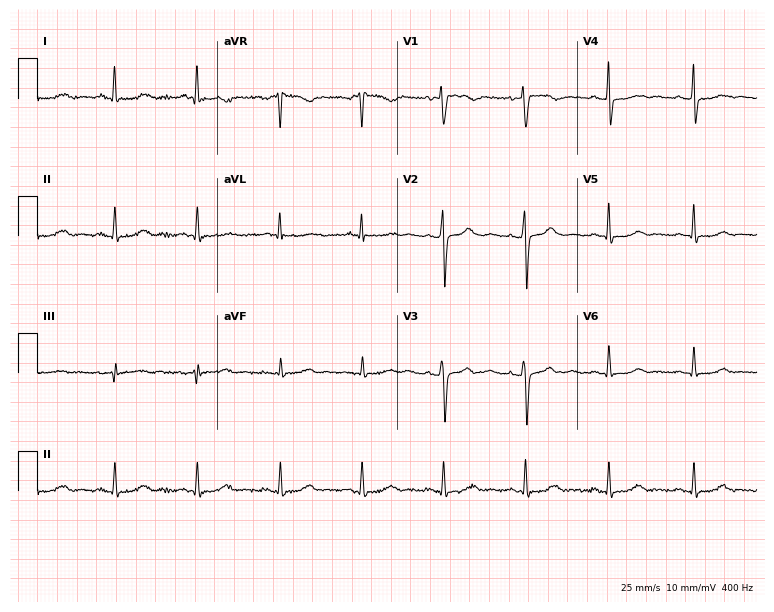
12-lead ECG (7.3-second recording at 400 Hz) from a 59-year-old female patient. Labelled as a normal ECG.